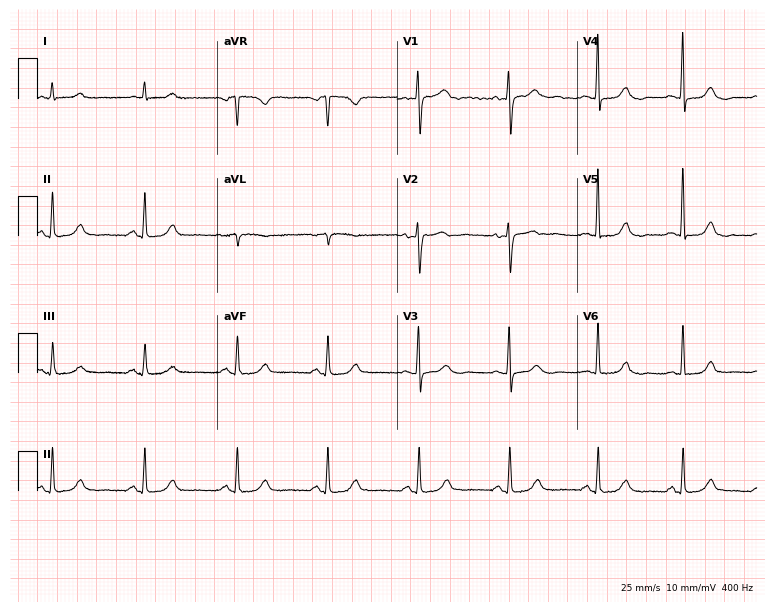
12-lead ECG from a woman, 69 years old. Screened for six findings — first-degree AV block, right bundle branch block (RBBB), left bundle branch block (LBBB), sinus bradycardia, atrial fibrillation (AF), sinus tachycardia — none is recorded. Other findings, if any, are not listed.